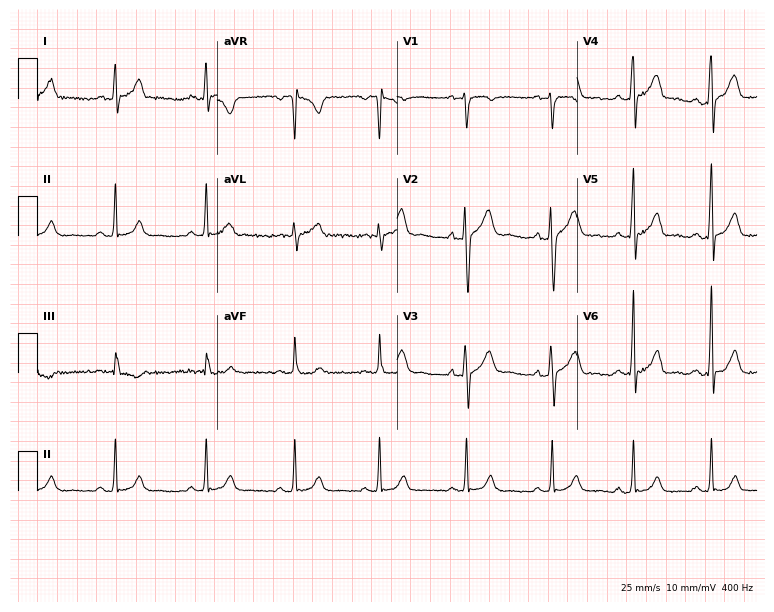
Standard 12-lead ECG recorded from a male patient, 40 years old. Read as a normal ECG.